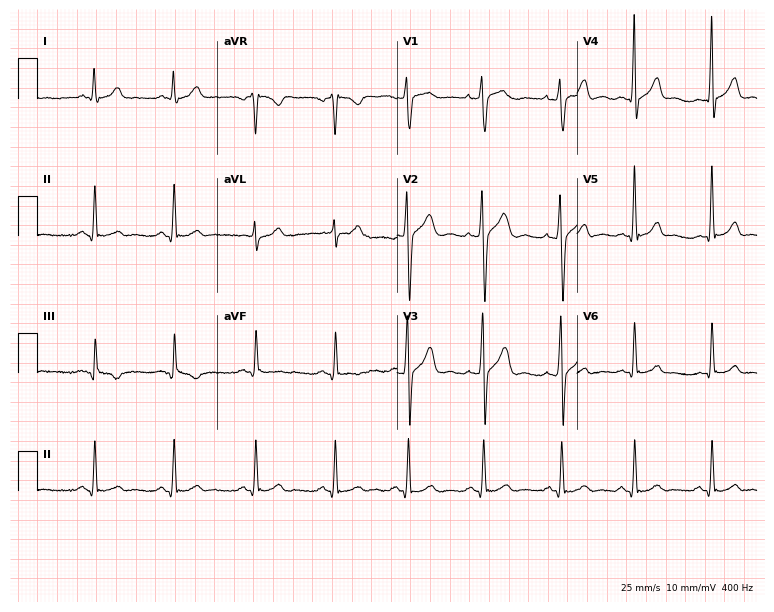
12-lead ECG from a 23-year-old male patient (7.3-second recording at 400 Hz). Recorded interpretation: within normal limits.